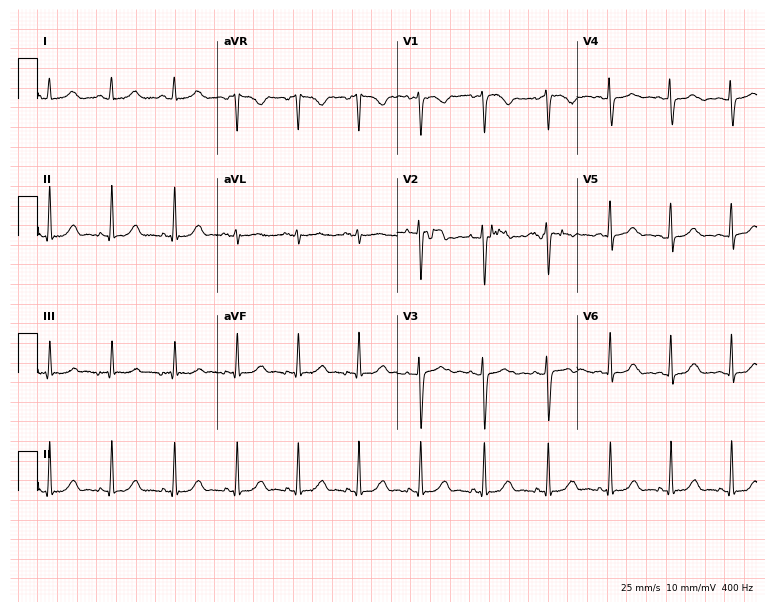
Electrocardiogram (7.3-second recording at 400 Hz), a female, 21 years old. Overall reading on record: normal ECG.